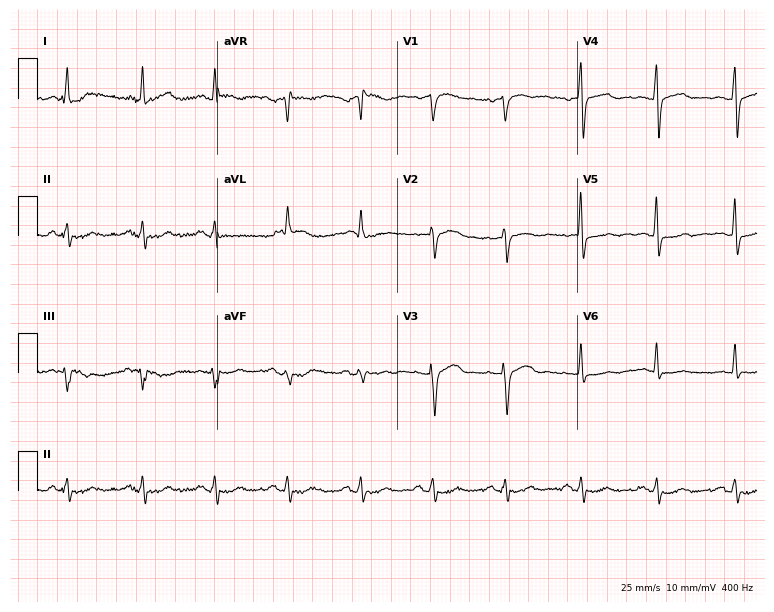
12-lead ECG from a 75-year-old woman. No first-degree AV block, right bundle branch block, left bundle branch block, sinus bradycardia, atrial fibrillation or sinus tachycardia recorded for this tracing.